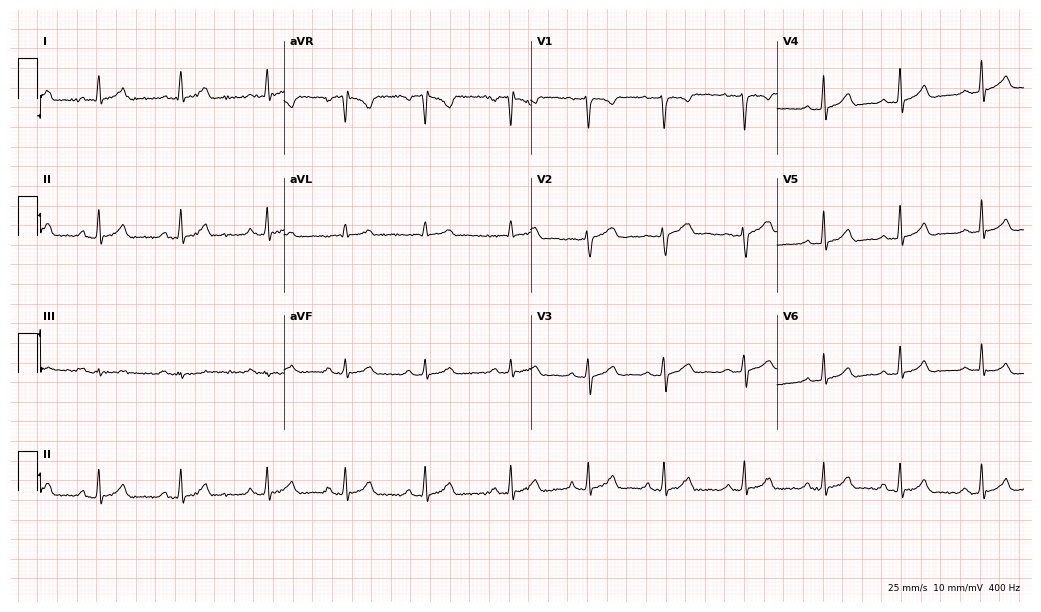
Resting 12-lead electrocardiogram (10.1-second recording at 400 Hz). Patient: a 30-year-old woman. None of these six findings is recorded: first-degree AV block, right bundle branch block, left bundle branch block, sinus bradycardia, atrial fibrillation, sinus tachycardia.